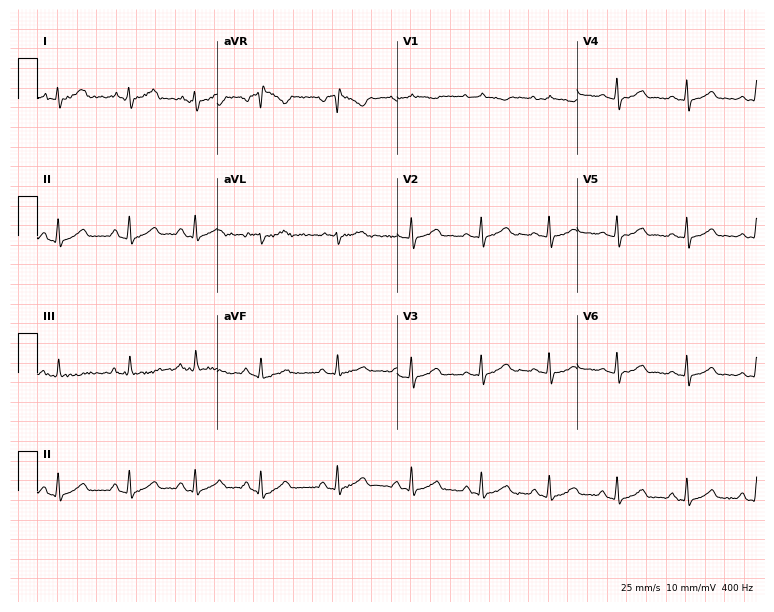
ECG (7.3-second recording at 400 Hz) — a 36-year-old woman. Screened for six findings — first-degree AV block, right bundle branch block, left bundle branch block, sinus bradycardia, atrial fibrillation, sinus tachycardia — none is recorded. Only these six findings were labelled.